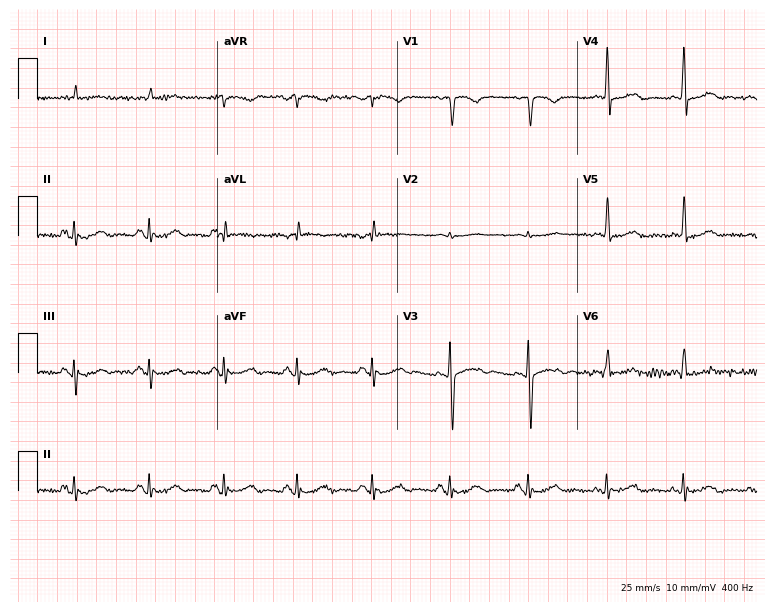
Resting 12-lead electrocardiogram (7.3-second recording at 400 Hz). Patient: a male, 68 years old. None of these six findings is recorded: first-degree AV block, right bundle branch block, left bundle branch block, sinus bradycardia, atrial fibrillation, sinus tachycardia.